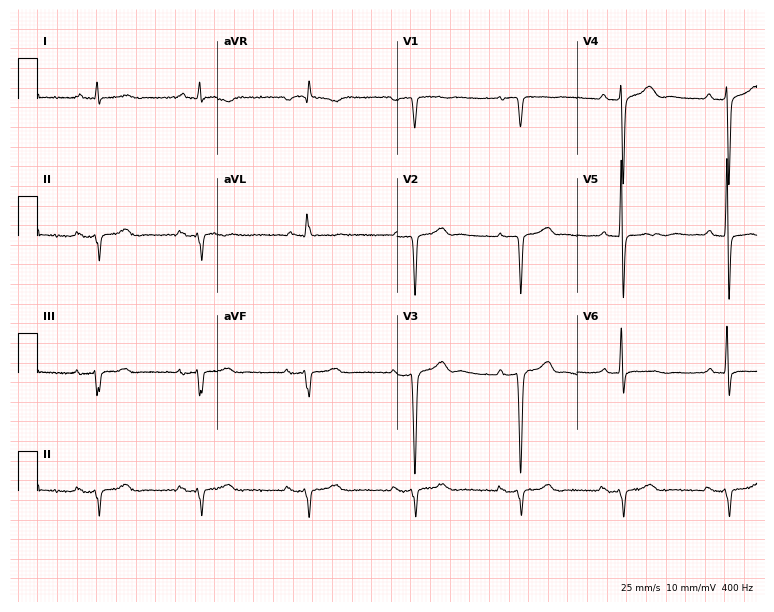
12-lead ECG from a male patient, 76 years old. Screened for six findings — first-degree AV block, right bundle branch block, left bundle branch block, sinus bradycardia, atrial fibrillation, sinus tachycardia — none is recorded.